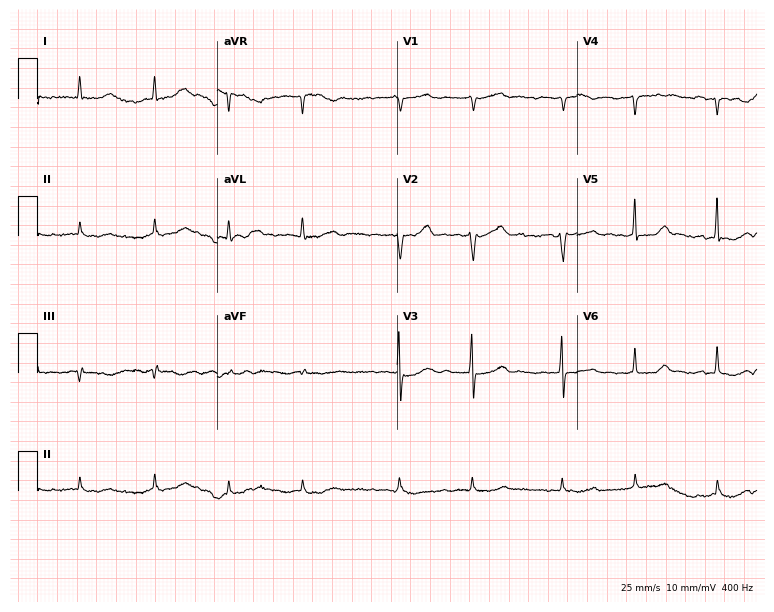
12-lead ECG (7.3-second recording at 400 Hz) from a woman, 72 years old. Findings include atrial fibrillation.